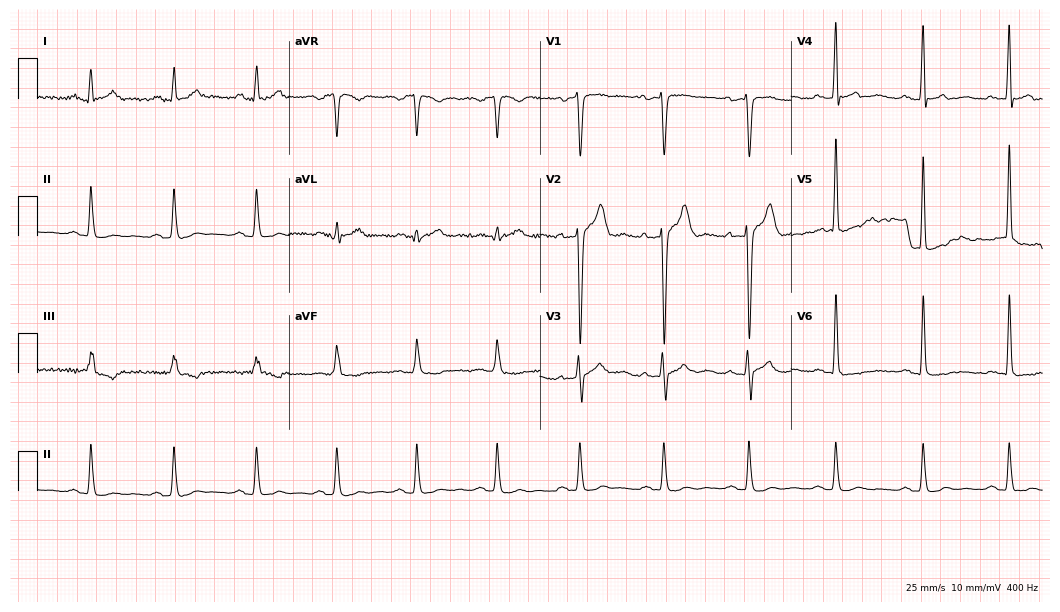
Electrocardiogram, a male, 48 years old. Of the six screened findings (first-degree AV block, right bundle branch block, left bundle branch block, sinus bradycardia, atrial fibrillation, sinus tachycardia), none is recorded. Only these six findings were labelled.